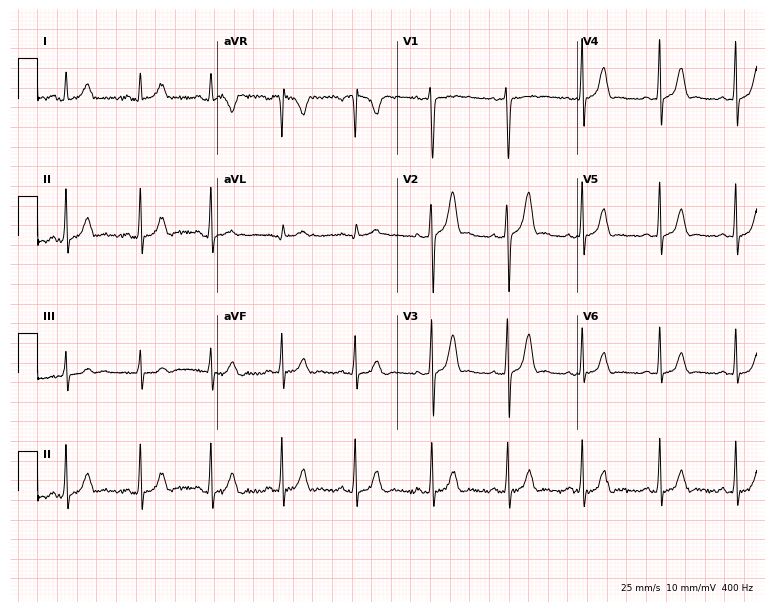
ECG (7.3-second recording at 400 Hz) — a woman, 28 years old. Screened for six findings — first-degree AV block, right bundle branch block (RBBB), left bundle branch block (LBBB), sinus bradycardia, atrial fibrillation (AF), sinus tachycardia — none is recorded. Findings outside these six are not listed.